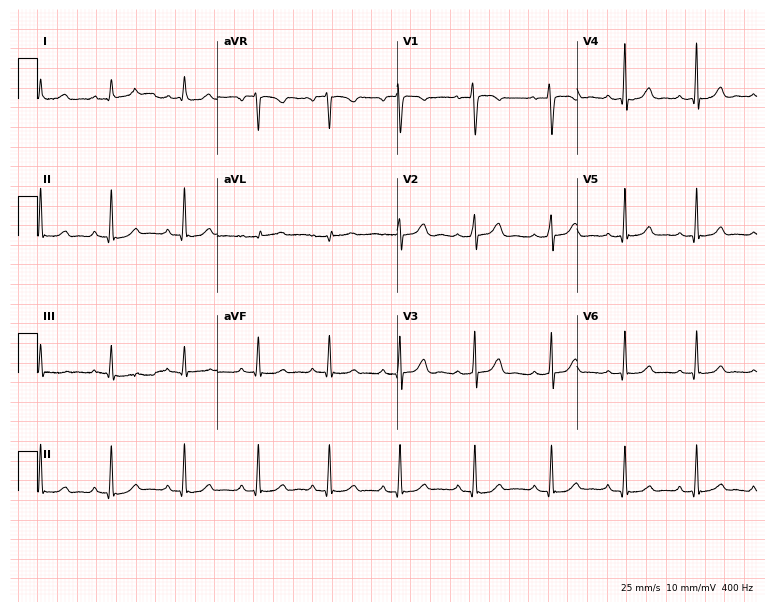
Standard 12-lead ECG recorded from a 29-year-old woman. Read as a normal ECG.